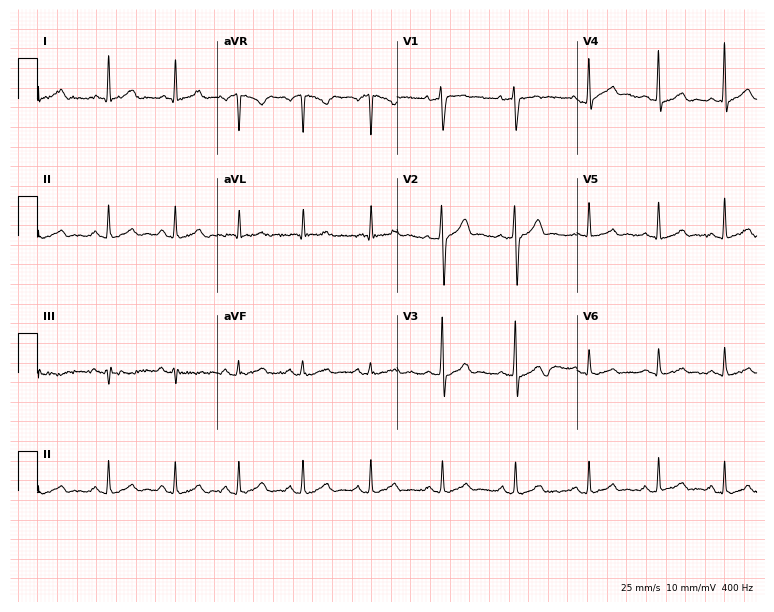
12-lead ECG from a man, 33 years old (7.3-second recording at 400 Hz). Recorded interpretation: within normal limits.